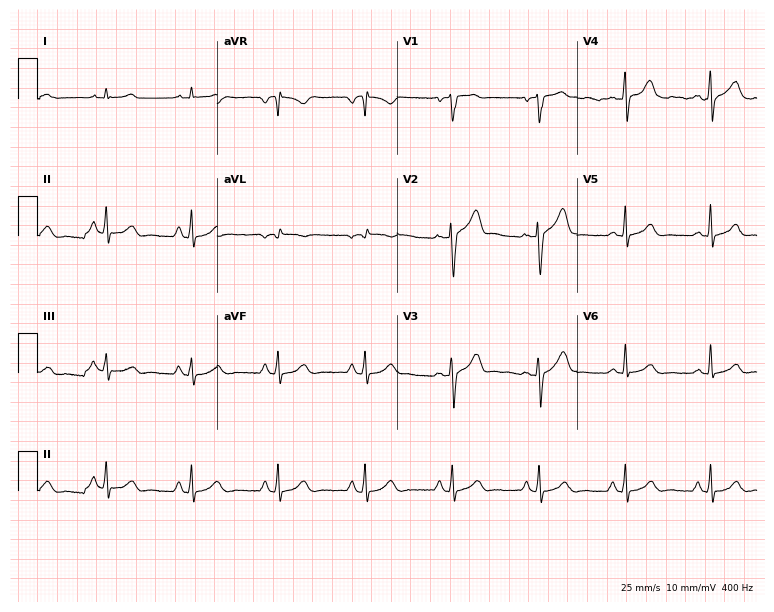
Electrocardiogram, a man, 37 years old. Overall reading on record: normal ECG.